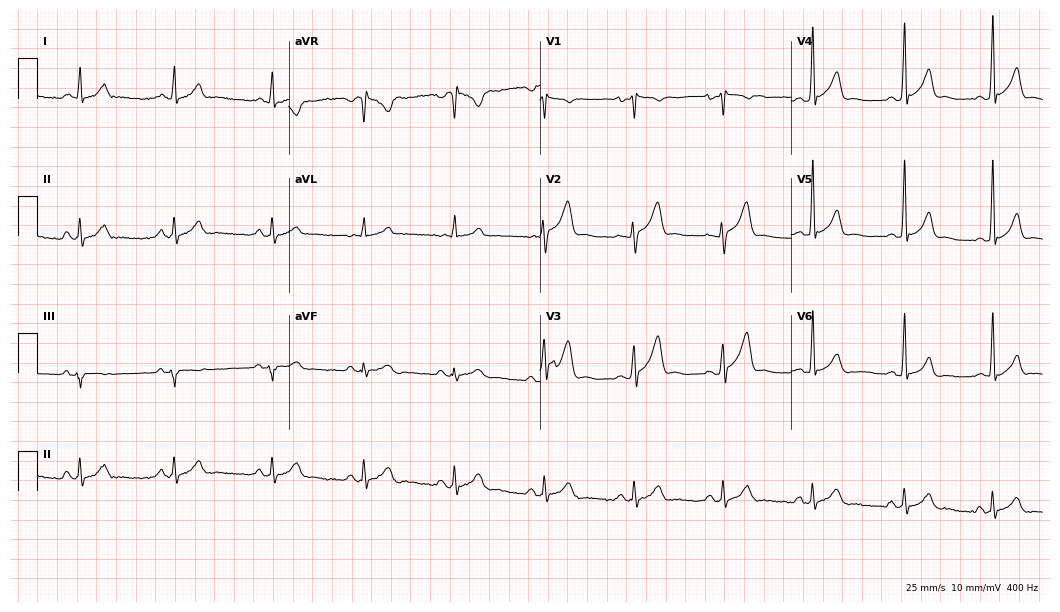
Electrocardiogram (10.2-second recording at 400 Hz), a male patient, 33 years old. Overall reading on record: normal ECG.